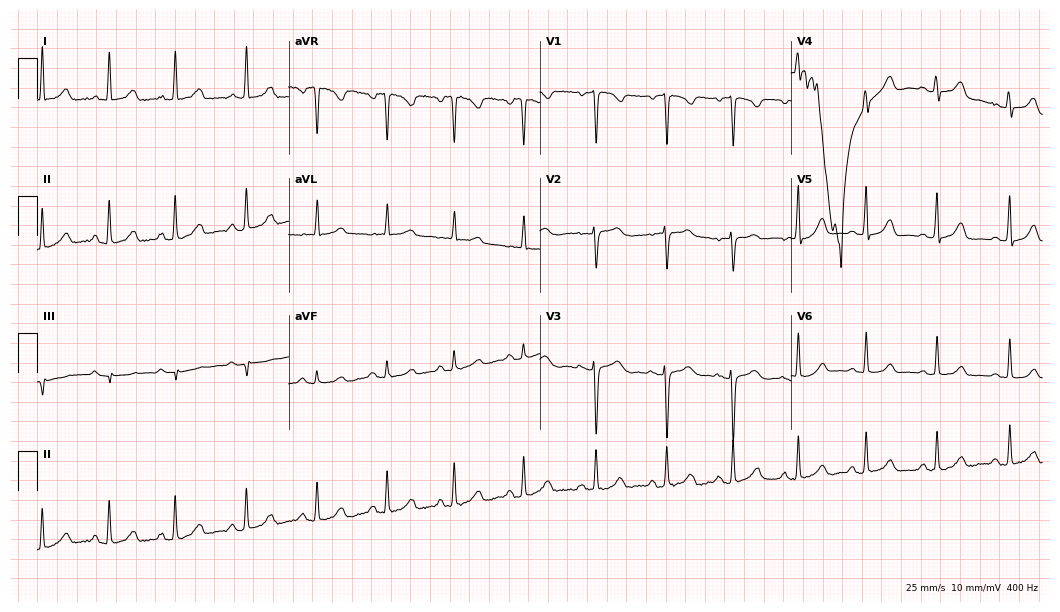
12-lead ECG from a 39-year-old female patient. Screened for six findings — first-degree AV block, right bundle branch block, left bundle branch block, sinus bradycardia, atrial fibrillation, sinus tachycardia — none is recorded. Other findings, if any, are not listed.